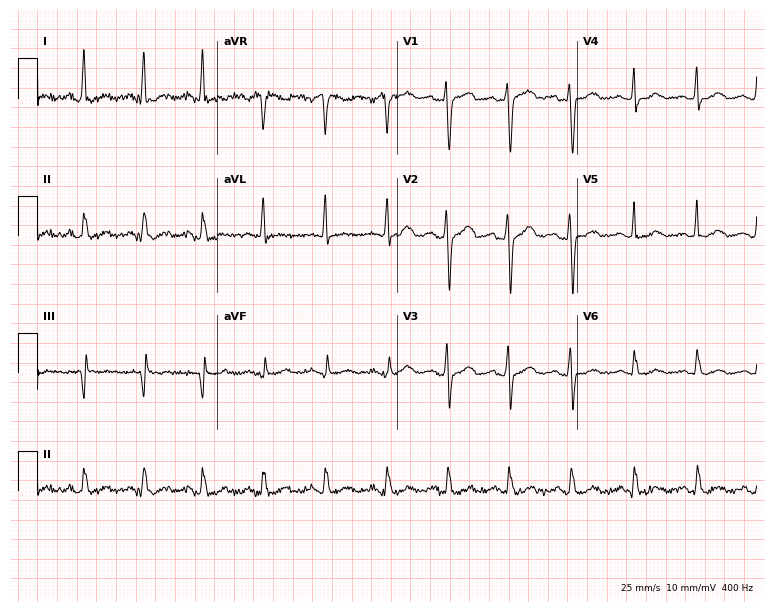
Electrocardiogram (7.3-second recording at 400 Hz), a woman, 27 years old. Overall reading on record: normal ECG.